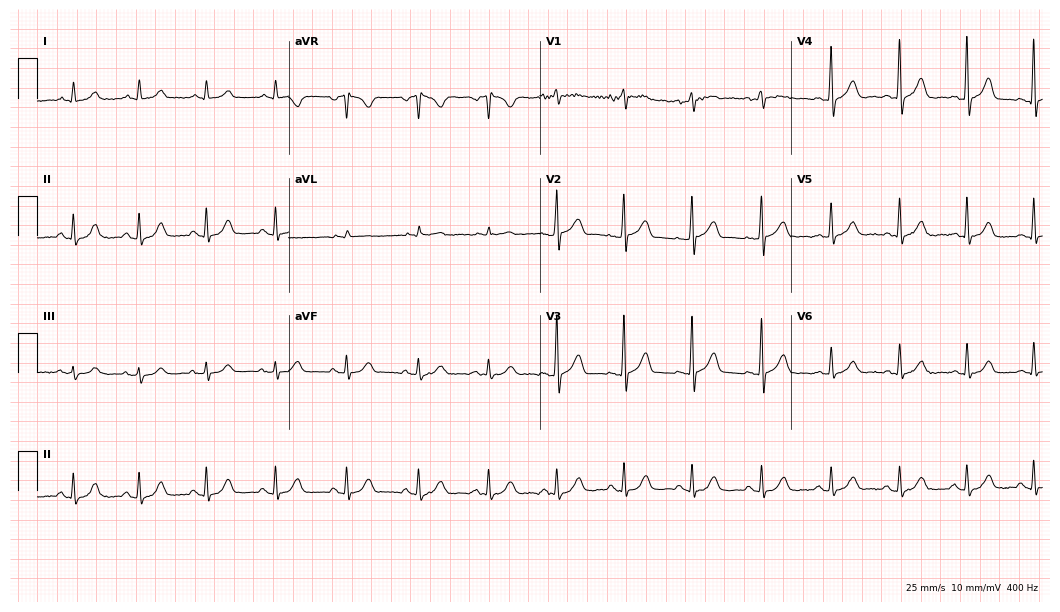
Standard 12-lead ECG recorded from a male, 60 years old (10.2-second recording at 400 Hz). None of these six findings is recorded: first-degree AV block, right bundle branch block, left bundle branch block, sinus bradycardia, atrial fibrillation, sinus tachycardia.